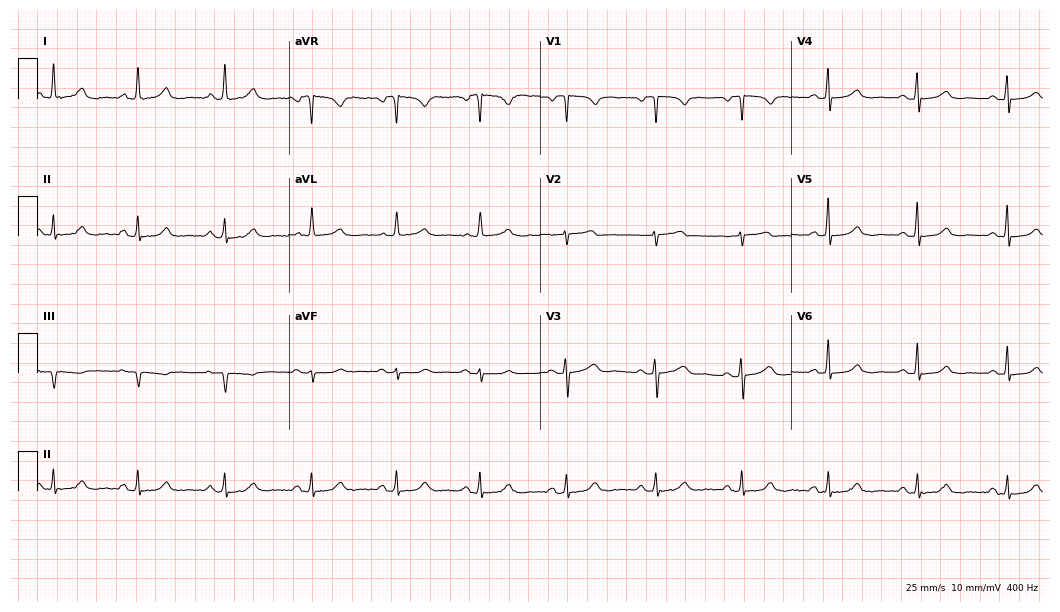
ECG — a 49-year-old woman. Screened for six findings — first-degree AV block, right bundle branch block (RBBB), left bundle branch block (LBBB), sinus bradycardia, atrial fibrillation (AF), sinus tachycardia — none is recorded. Other findings, if any, are not listed.